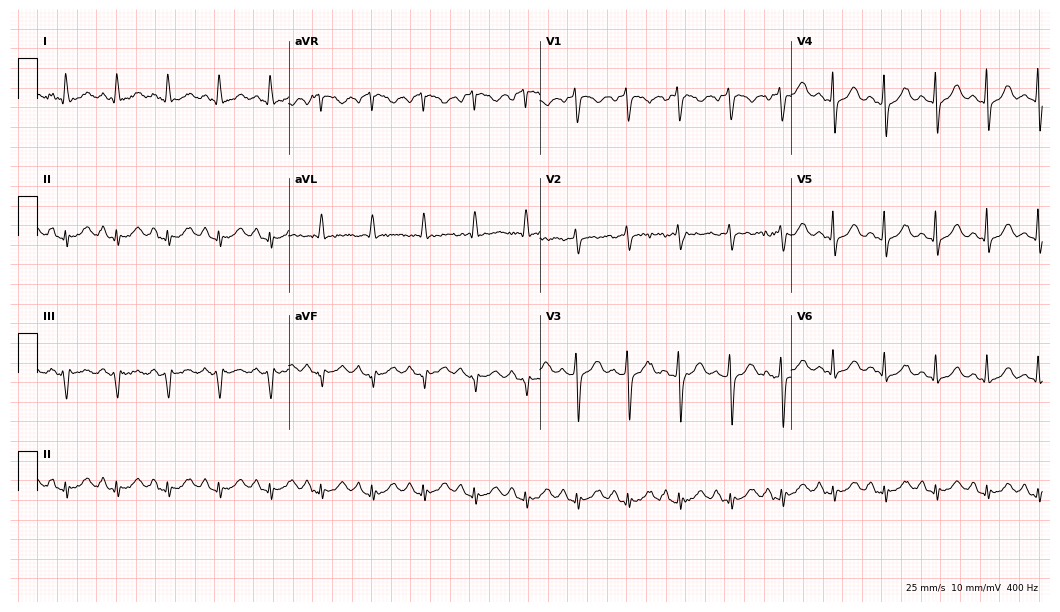
12-lead ECG from a woman, 41 years old. Screened for six findings — first-degree AV block, right bundle branch block, left bundle branch block, sinus bradycardia, atrial fibrillation, sinus tachycardia — none is recorded. Findings outside these six are not listed.